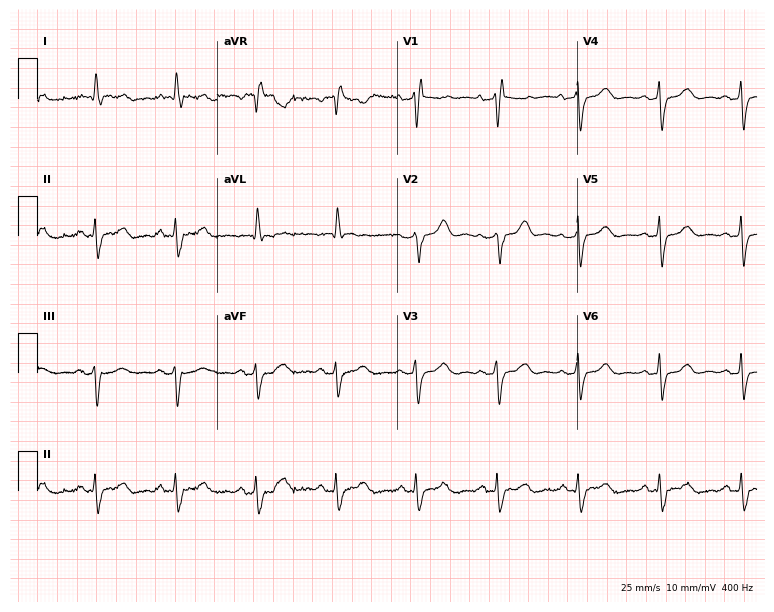
Resting 12-lead electrocardiogram. Patient: a 76-year-old female. The tracing shows right bundle branch block.